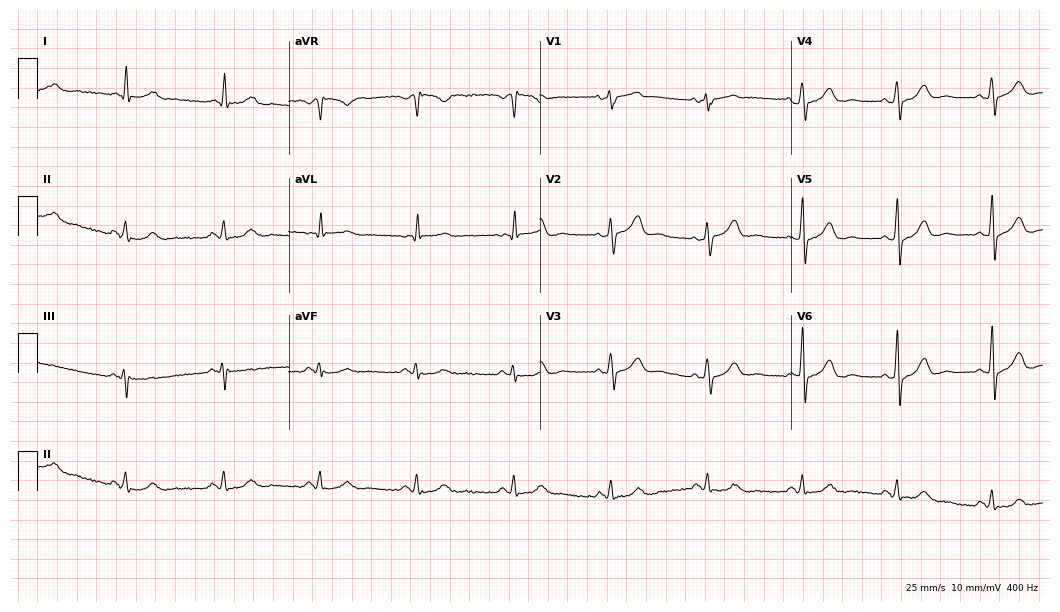
Resting 12-lead electrocardiogram. Patient: a man, 64 years old. Read as a normal ECG.